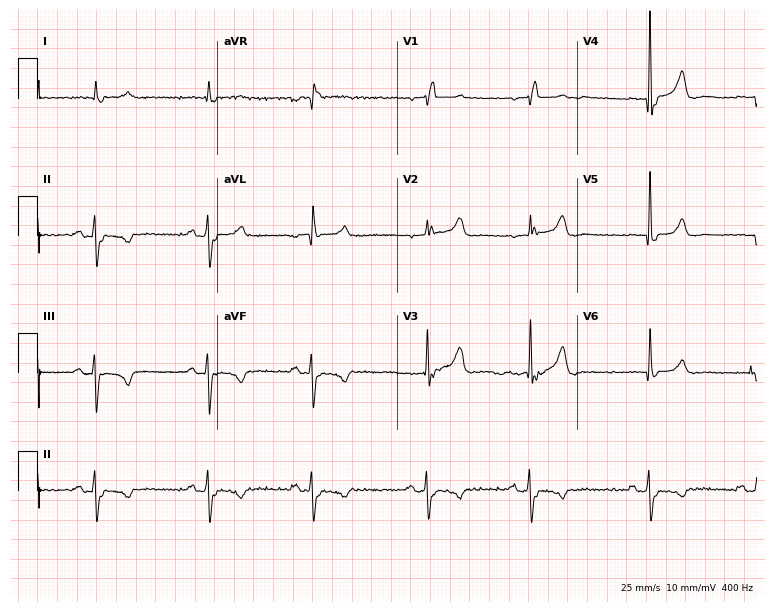
Resting 12-lead electrocardiogram. Patient: a male, 81 years old. The tracing shows right bundle branch block (RBBB).